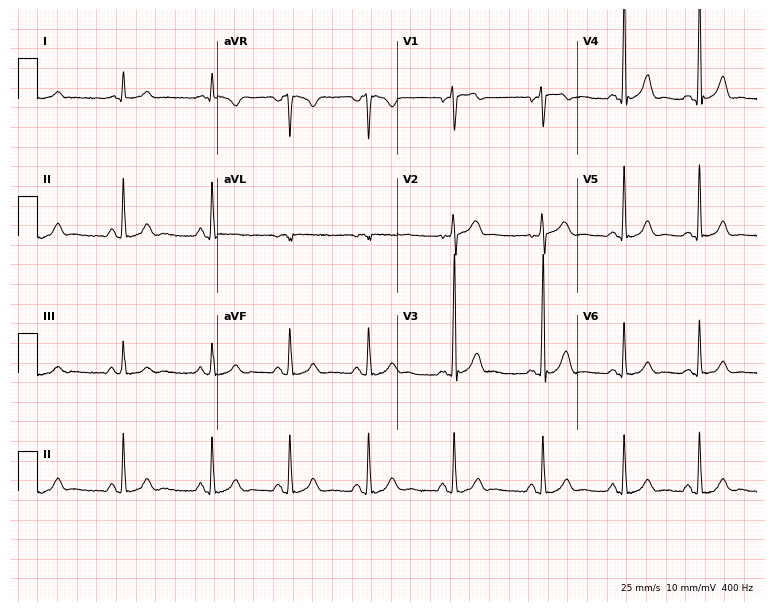
12-lead ECG (7.3-second recording at 400 Hz) from an 18-year-old male. Labelled as a normal ECG.